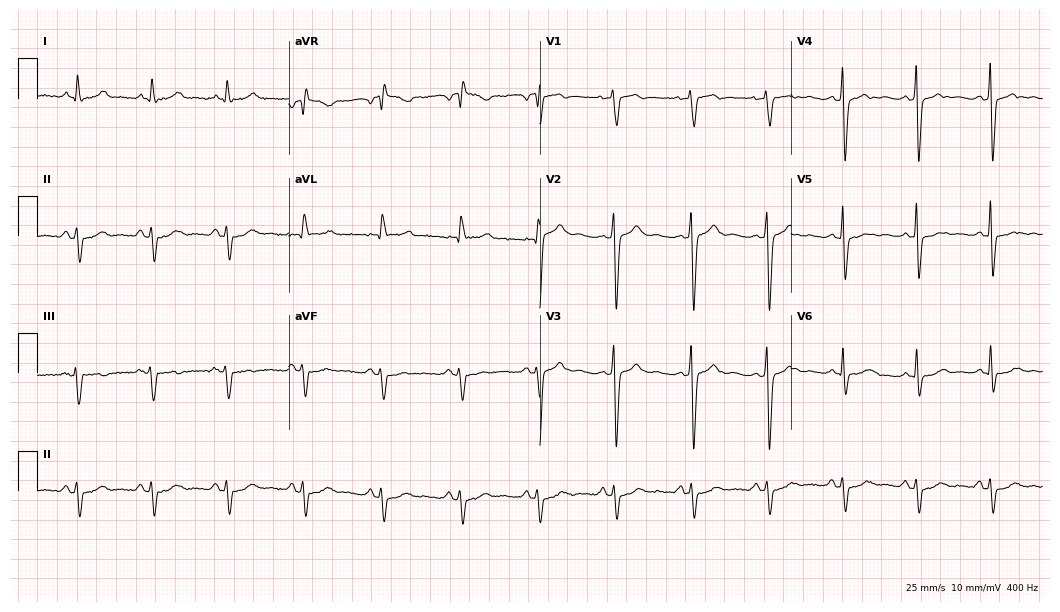
Electrocardiogram, a 52-year-old male. Of the six screened findings (first-degree AV block, right bundle branch block, left bundle branch block, sinus bradycardia, atrial fibrillation, sinus tachycardia), none is recorded. Other findings, if any, are not listed.